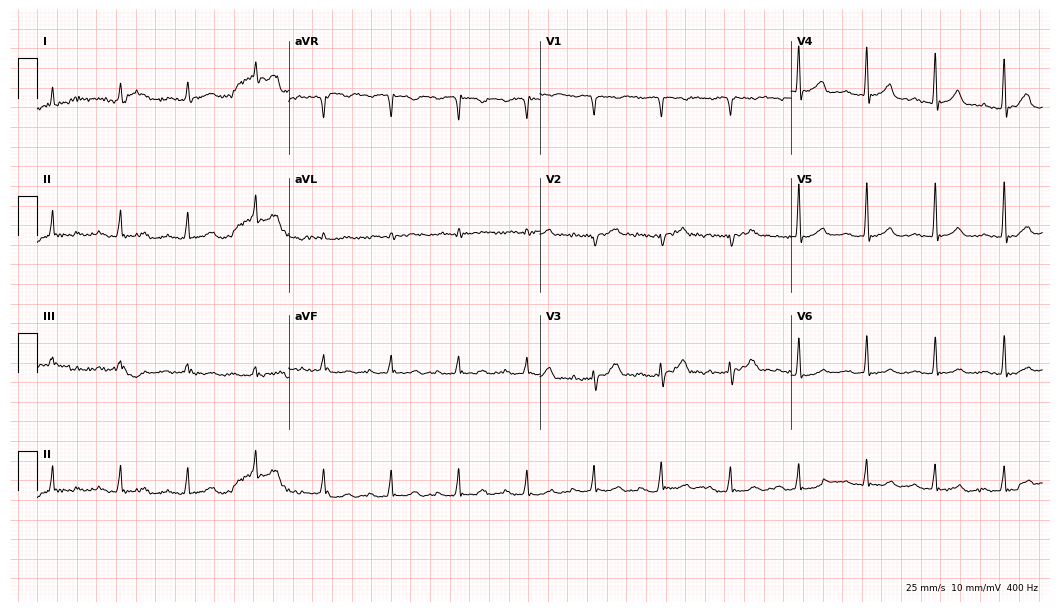
Electrocardiogram (10.2-second recording at 400 Hz), a male patient, 70 years old. Of the six screened findings (first-degree AV block, right bundle branch block (RBBB), left bundle branch block (LBBB), sinus bradycardia, atrial fibrillation (AF), sinus tachycardia), none is recorded.